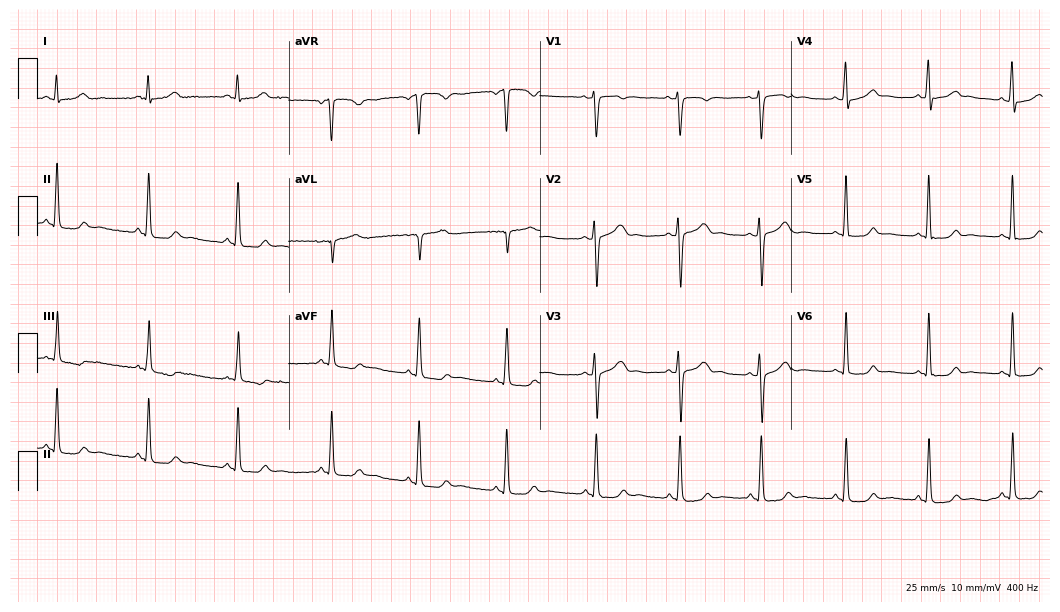
ECG (10.2-second recording at 400 Hz) — a 29-year-old woman. Labelled as a normal ECG.